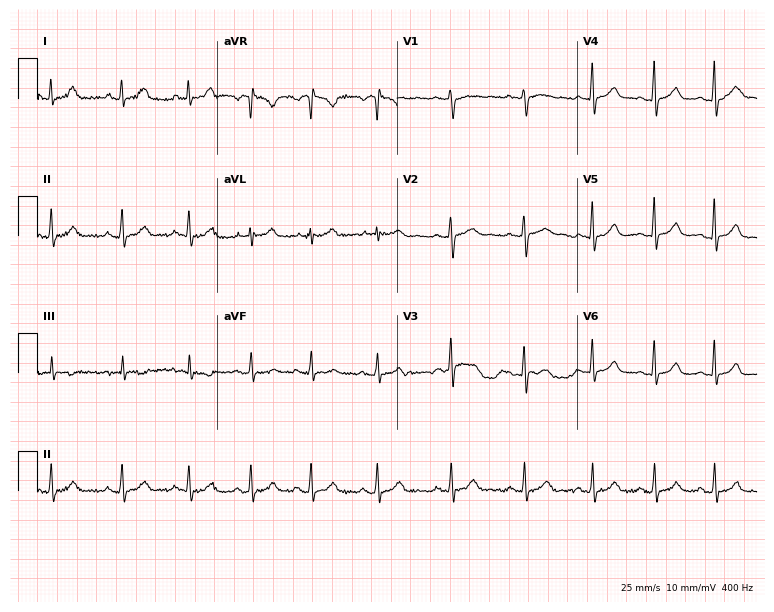
Resting 12-lead electrocardiogram (7.3-second recording at 400 Hz). Patient: a female, 23 years old. Read as a normal ECG.